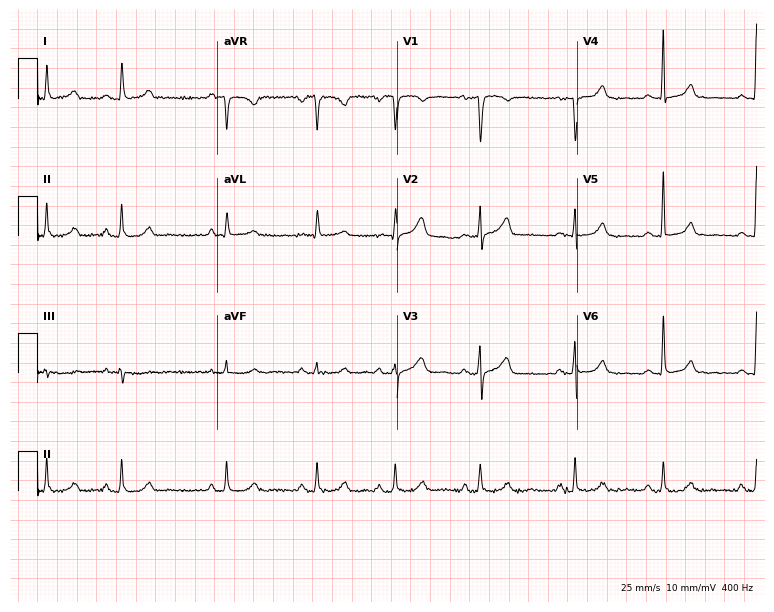
Electrocardiogram (7.3-second recording at 400 Hz), a female, 58 years old. Of the six screened findings (first-degree AV block, right bundle branch block, left bundle branch block, sinus bradycardia, atrial fibrillation, sinus tachycardia), none is recorded.